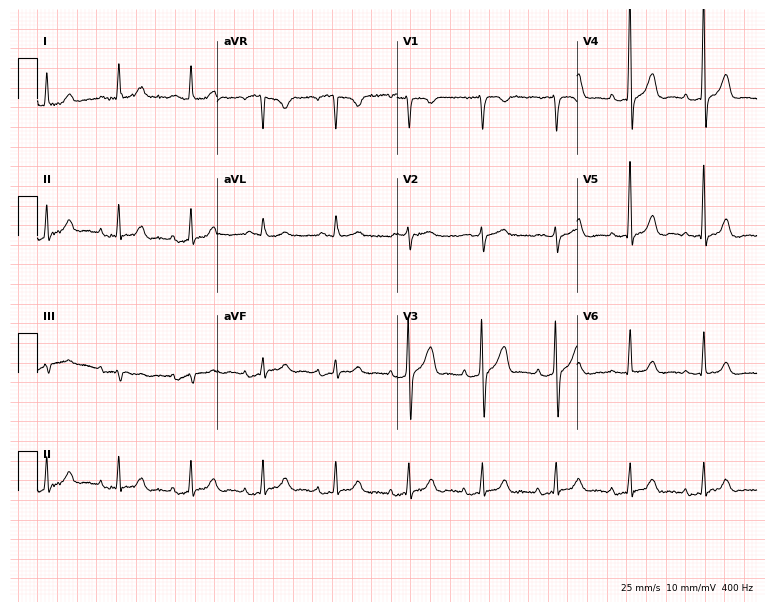
12-lead ECG (7.3-second recording at 400 Hz) from a 77-year-old man. Labelled as a normal ECG.